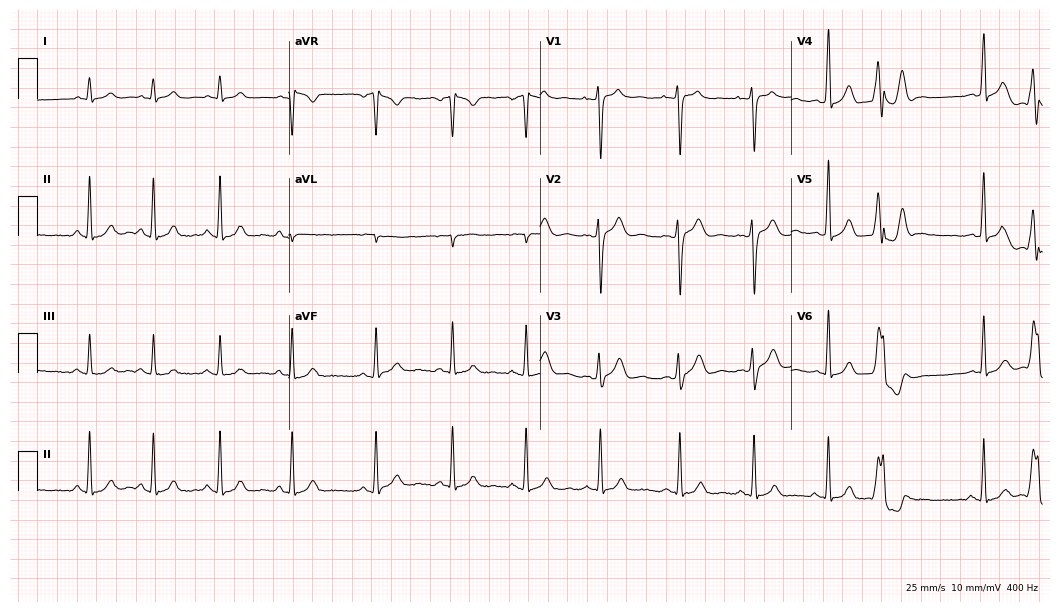
12-lead ECG from a 23-year-old male. Screened for six findings — first-degree AV block, right bundle branch block (RBBB), left bundle branch block (LBBB), sinus bradycardia, atrial fibrillation (AF), sinus tachycardia — none is recorded. Other findings, if any, are not listed.